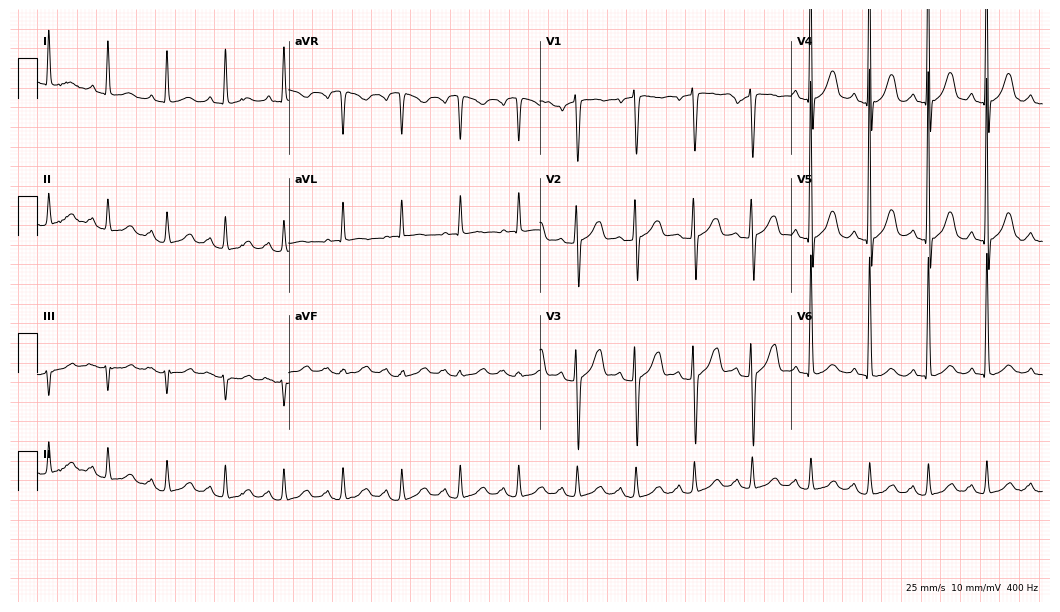
Electrocardiogram (10.2-second recording at 400 Hz), a woman, 84 years old. Of the six screened findings (first-degree AV block, right bundle branch block (RBBB), left bundle branch block (LBBB), sinus bradycardia, atrial fibrillation (AF), sinus tachycardia), none is recorded. Only these six findings were labelled.